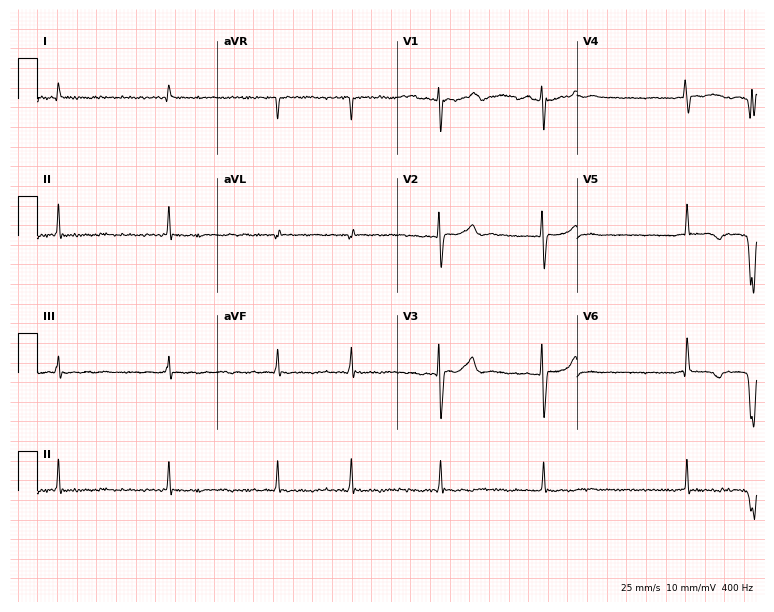
Resting 12-lead electrocardiogram (7.3-second recording at 400 Hz). Patient: a female, 80 years old. The tracing shows atrial fibrillation.